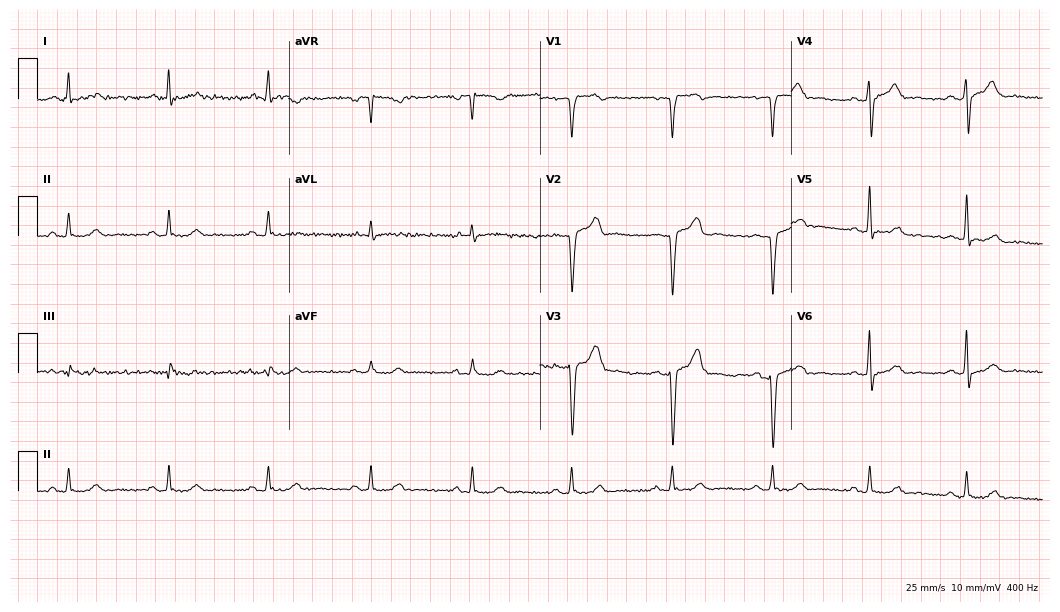
Standard 12-lead ECG recorded from a 43-year-old man. Read as a normal ECG.